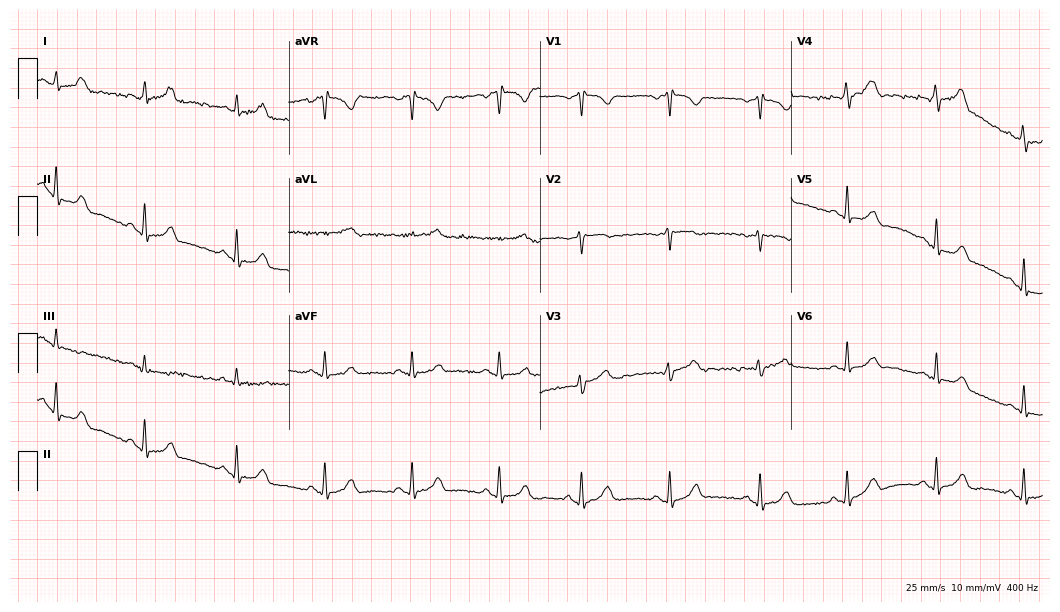
ECG — a 32-year-old woman. Screened for six findings — first-degree AV block, right bundle branch block (RBBB), left bundle branch block (LBBB), sinus bradycardia, atrial fibrillation (AF), sinus tachycardia — none is recorded. Other findings, if any, are not listed.